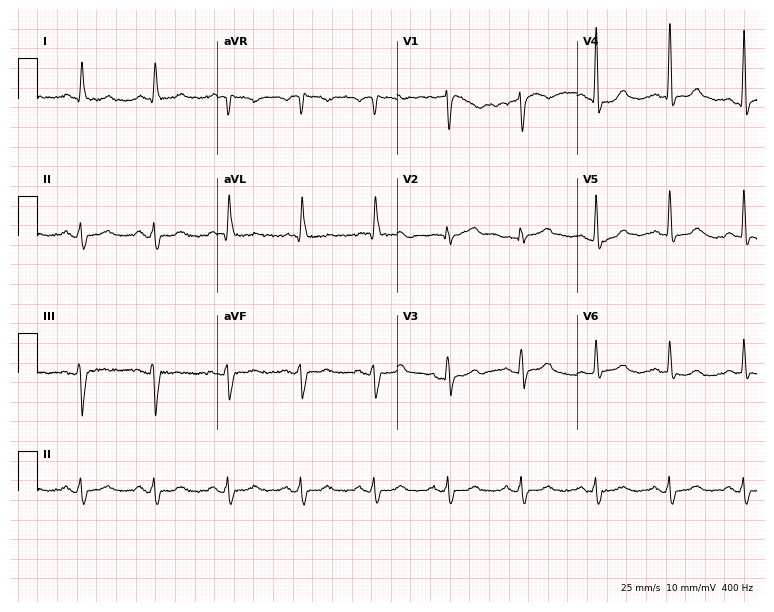
Standard 12-lead ECG recorded from an 82-year-old woman (7.3-second recording at 400 Hz). None of these six findings is recorded: first-degree AV block, right bundle branch block (RBBB), left bundle branch block (LBBB), sinus bradycardia, atrial fibrillation (AF), sinus tachycardia. Findings outside these six are not listed.